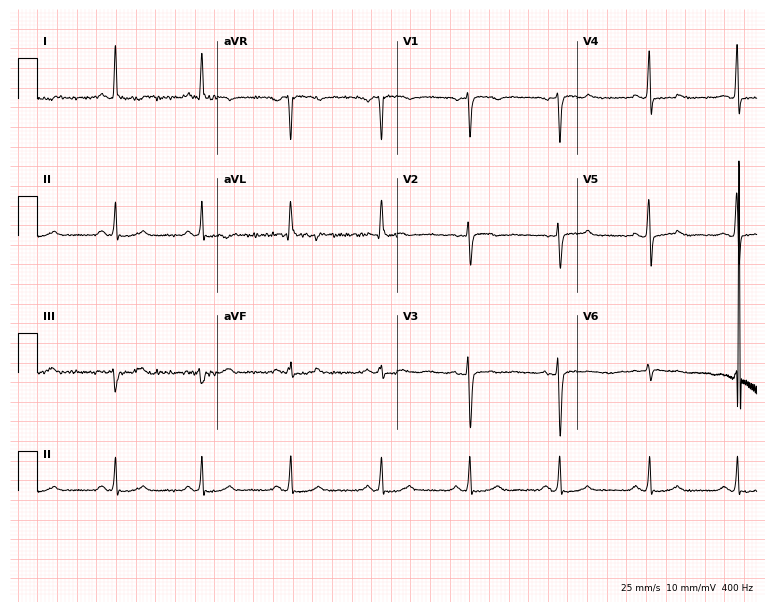
Standard 12-lead ECG recorded from a 54-year-old woman (7.3-second recording at 400 Hz). None of these six findings is recorded: first-degree AV block, right bundle branch block, left bundle branch block, sinus bradycardia, atrial fibrillation, sinus tachycardia. Only these six findings were labelled.